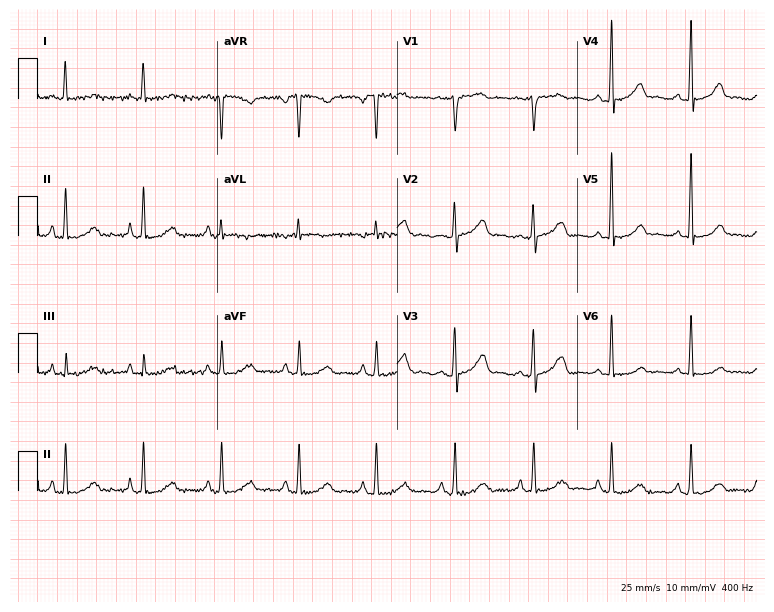
ECG — a female, 61 years old. Labelled as a normal ECG.